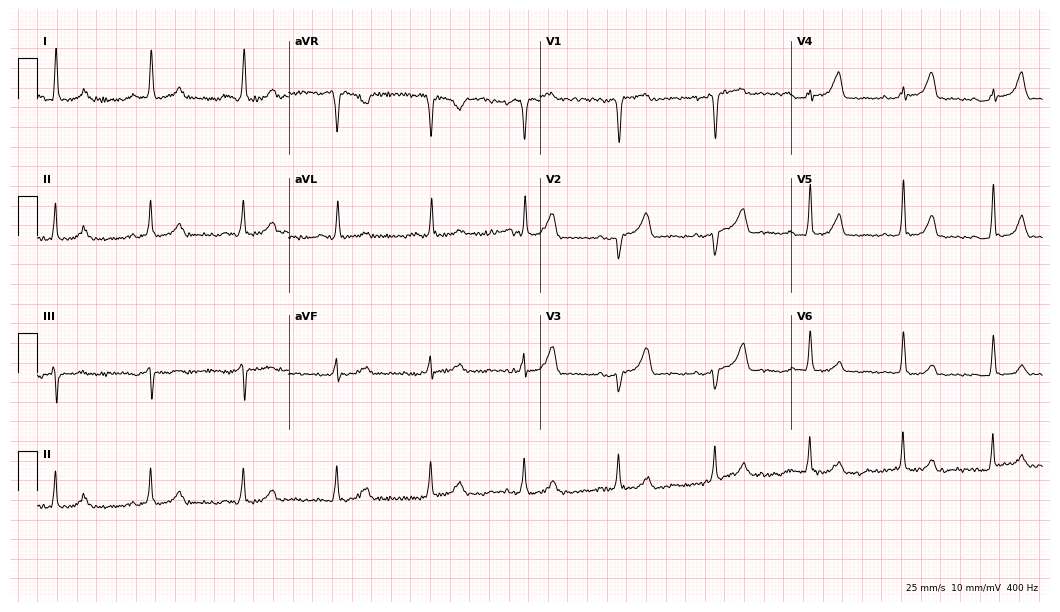
12-lead ECG (10.2-second recording at 400 Hz) from a 61-year-old female. Screened for six findings — first-degree AV block, right bundle branch block, left bundle branch block, sinus bradycardia, atrial fibrillation, sinus tachycardia — none is recorded. Other findings, if any, are not listed.